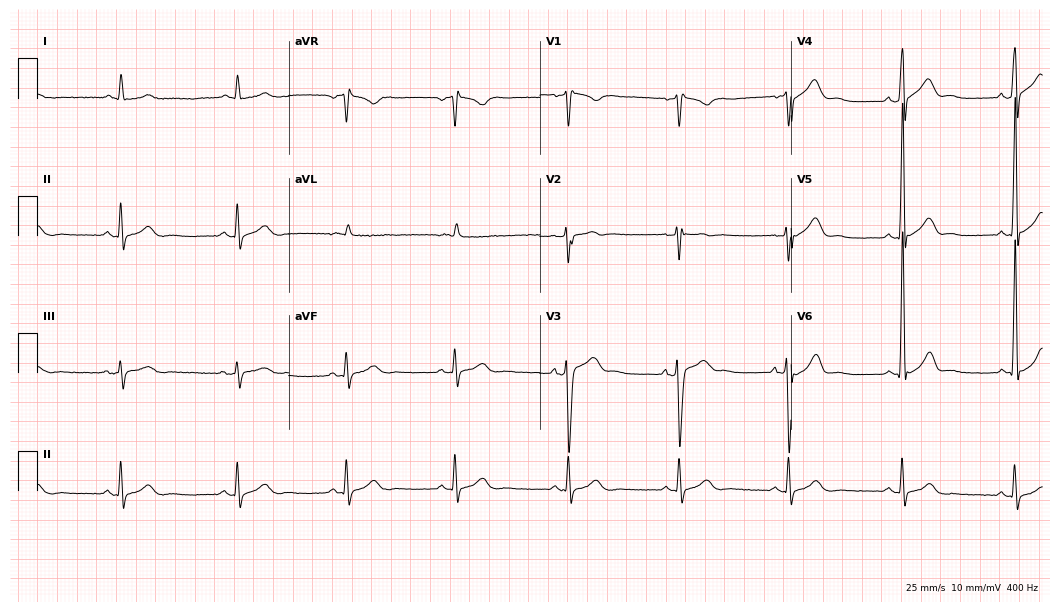
ECG (10.2-second recording at 400 Hz) — a 33-year-old man. Screened for six findings — first-degree AV block, right bundle branch block, left bundle branch block, sinus bradycardia, atrial fibrillation, sinus tachycardia — none is recorded.